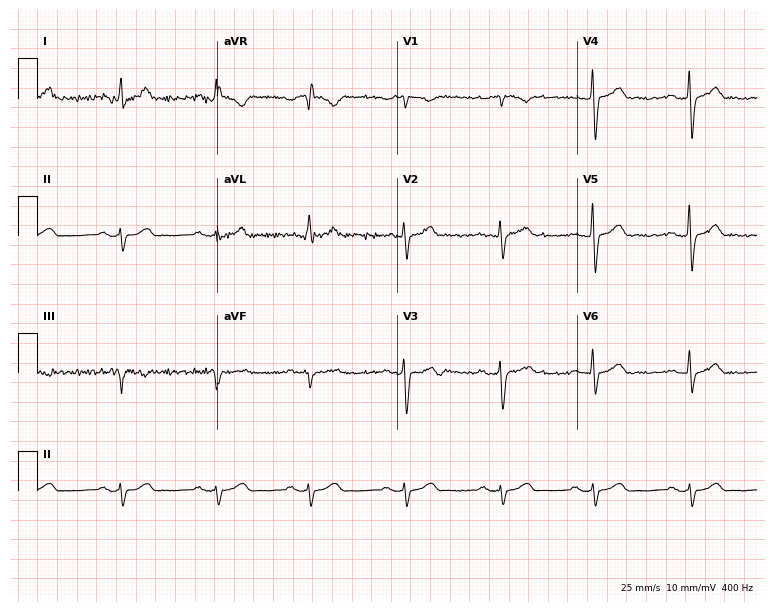
ECG — a 50-year-old man. Screened for six findings — first-degree AV block, right bundle branch block, left bundle branch block, sinus bradycardia, atrial fibrillation, sinus tachycardia — none is recorded. Only these six findings were labelled.